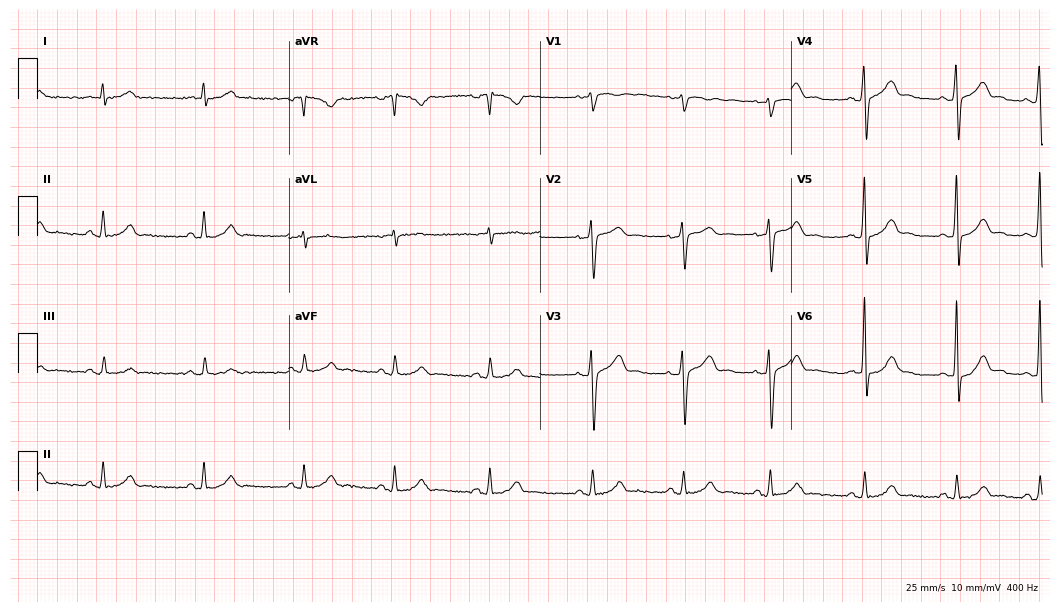
12-lead ECG (10.2-second recording at 400 Hz) from a 35-year-old man. Labelled as a normal ECG.